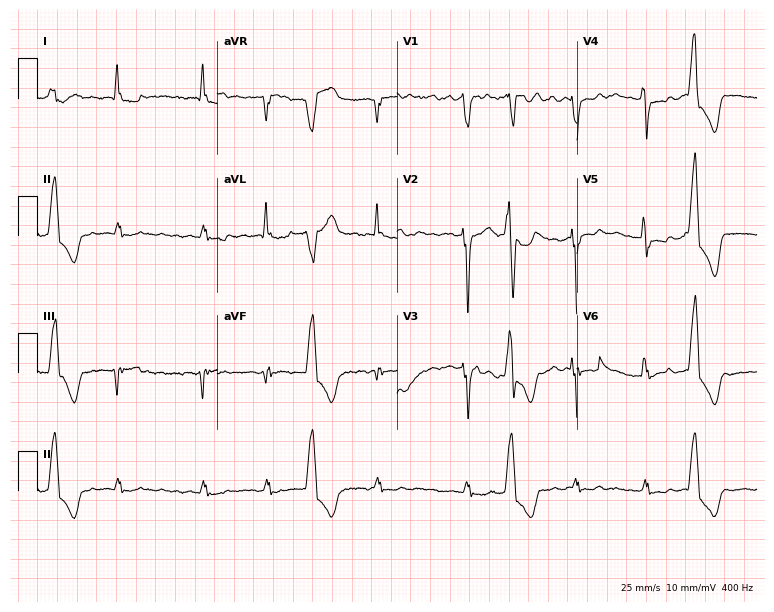
Standard 12-lead ECG recorded from a male, 77 years old (7.3-second recording at 400 Hz). None of these six findings is recorded: first-degree AV block, right bundle branch block, left bundle branch block, sinus bradycardia, atrial fibrillation, sinus tachycardia. Other findings, if any, are not listed.